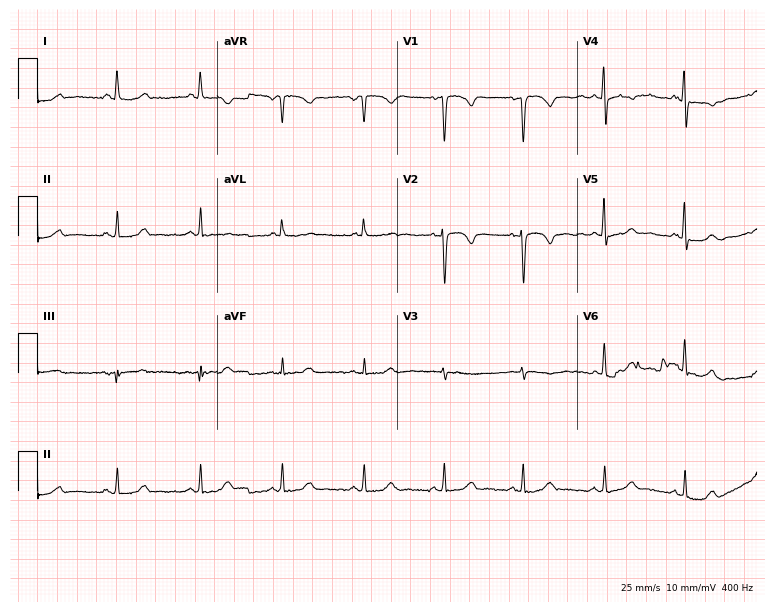
Standard 12-lead ECG recorded from a woman, 34 years old (7.3-second recording at 400 Hz). None of these six findings is recorded: first-degree AV block, right bundle branch block, left bundle branch block, sinus bradycardia, atrial fibrillation, sinus tachycardia.